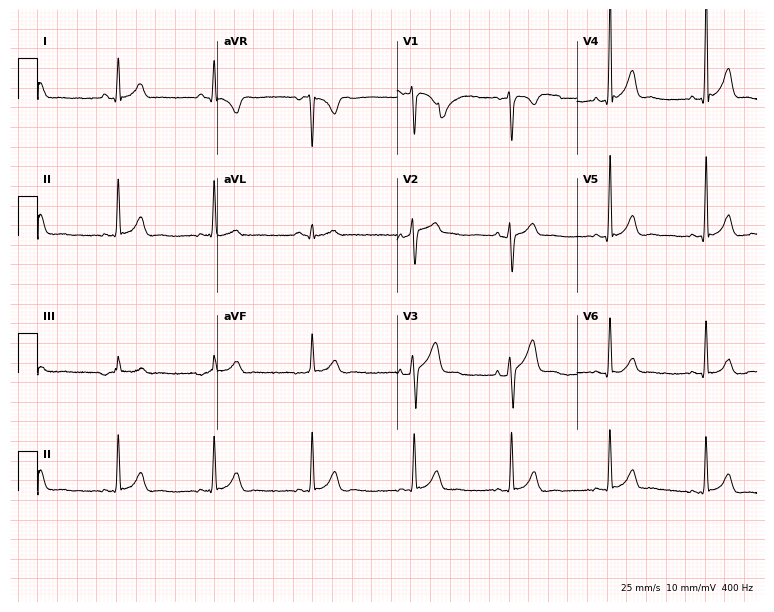
12-lead ECG from a 24-year-old male patient. Recorded interpretation: within normal limits.